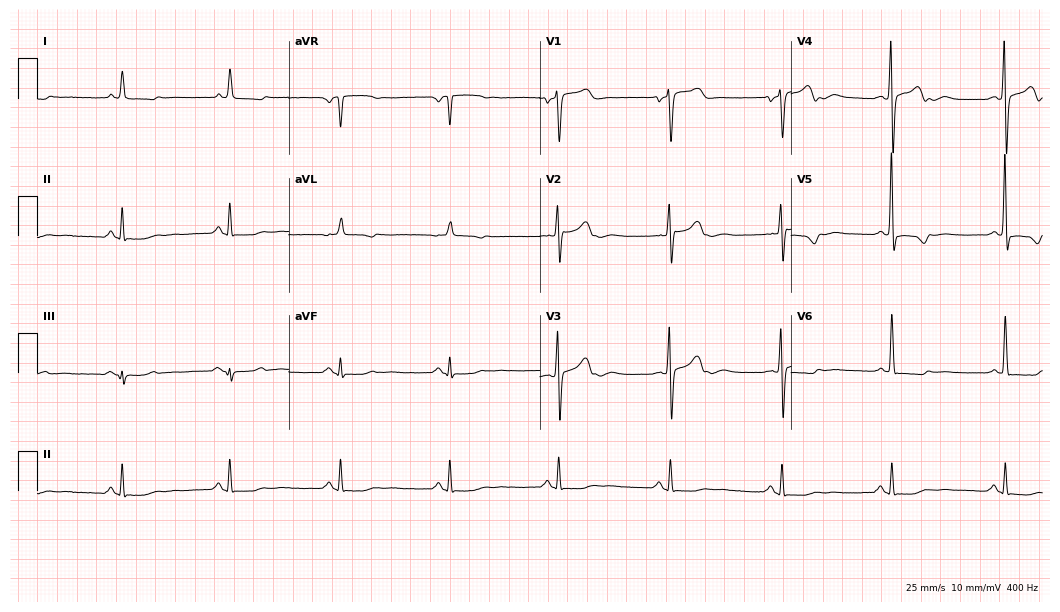
12-lead ECG from a woman, 70 years old. Screened for six findings — first-degree AV block, right bundle branch block, left bundle branch block, sinus bradycardia, atrial fibrillation, sinus tachycardia — none is recorded.